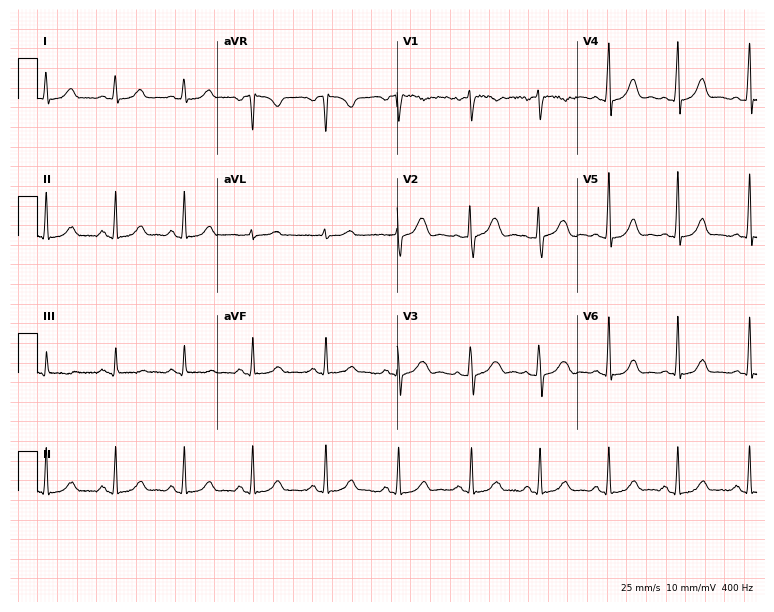
Resting 12-lead electrocardiogram (7.3-second recording at 400 Hz). Patient: a 35-year-old male. Read as a normal ECG.